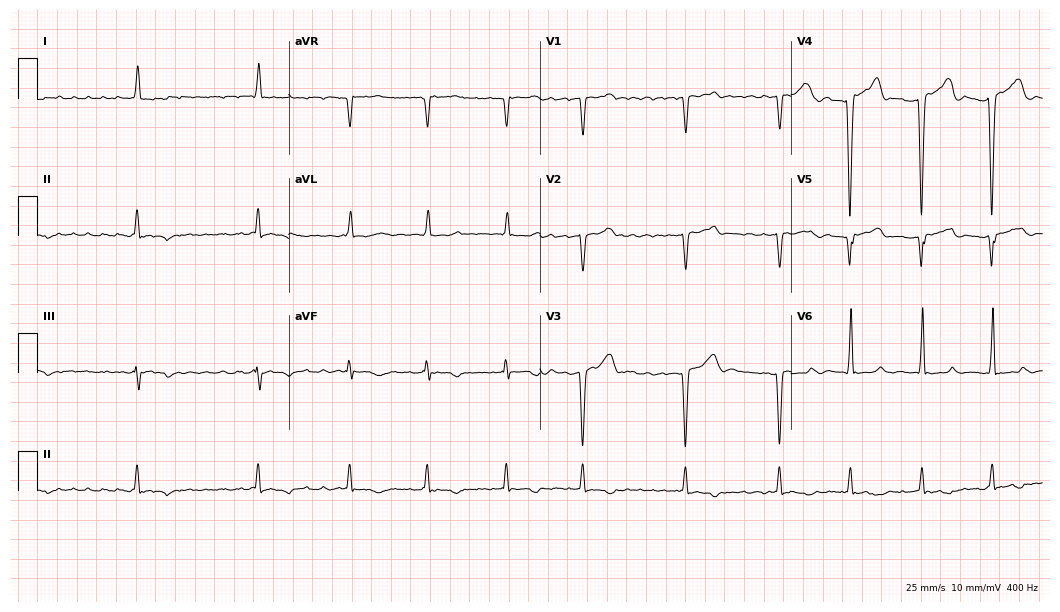
12-lead ECG from a male, 80 years old (10.2-second recording at 400 Hz). Shows atrial fibrillation (AF).